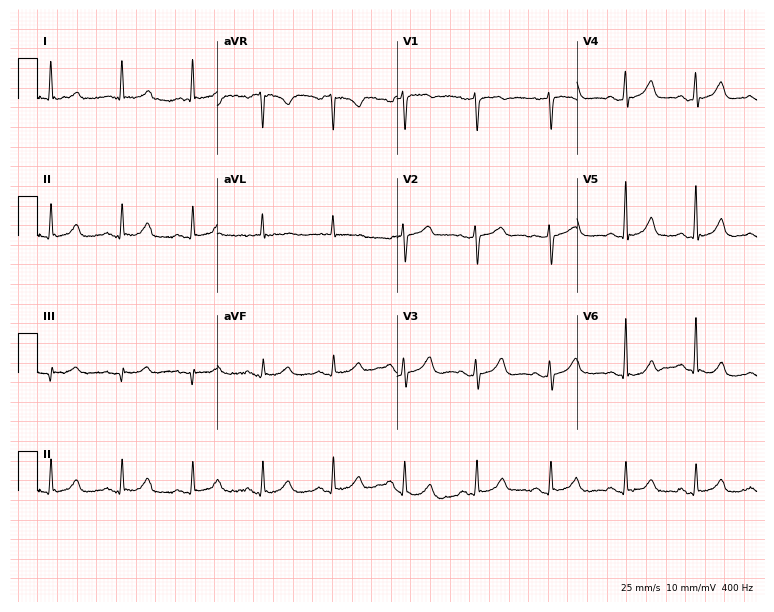
12-lead ECG from a 76-year-old female patient. Recorded interpretation: within normal limits.